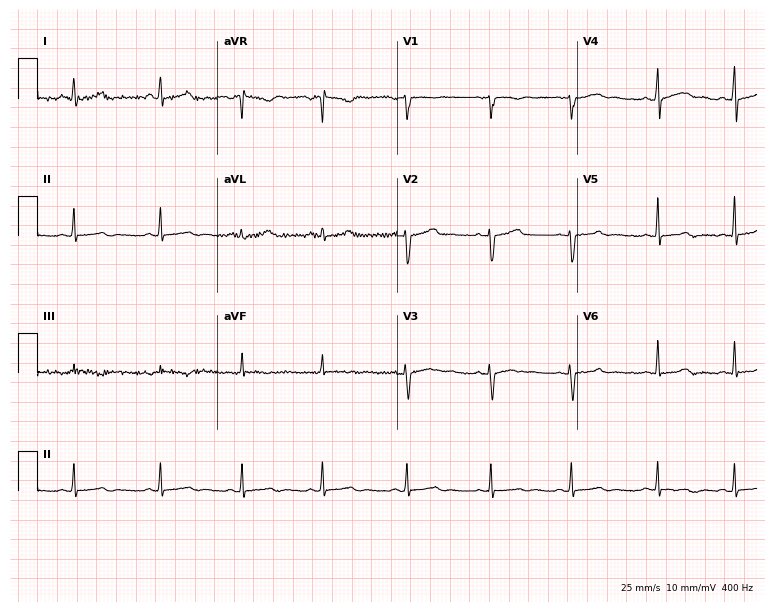
ECG (7.3-second recording at 400 Hz) — a 27-year-old woman. Labelled as a normal ECG.